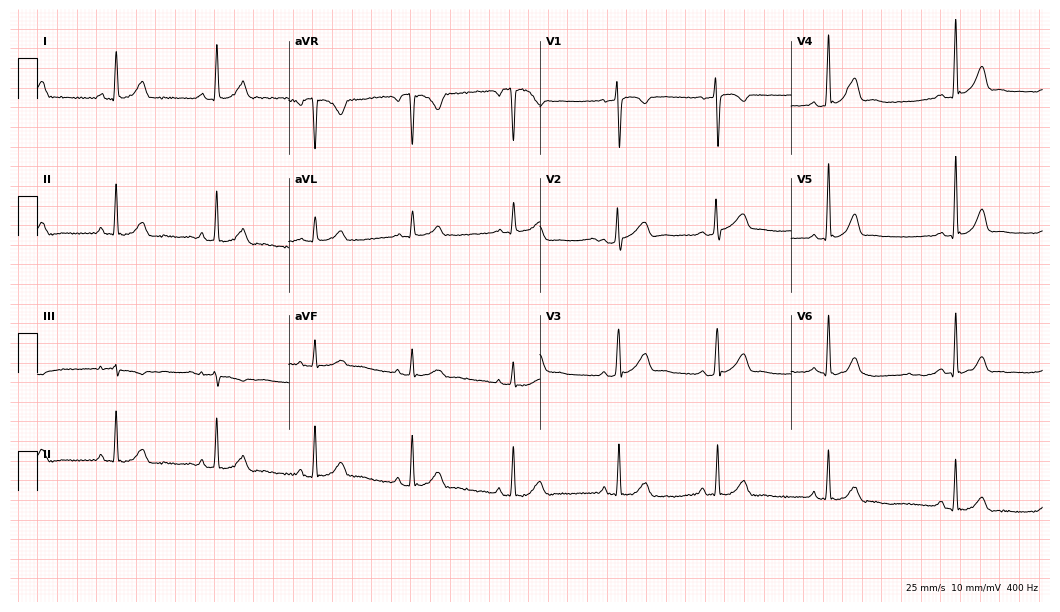
12-lead ECG (10.2-second recording at 400 Hz) from a 34-year-old female patient. Labelled as a normal ECG.